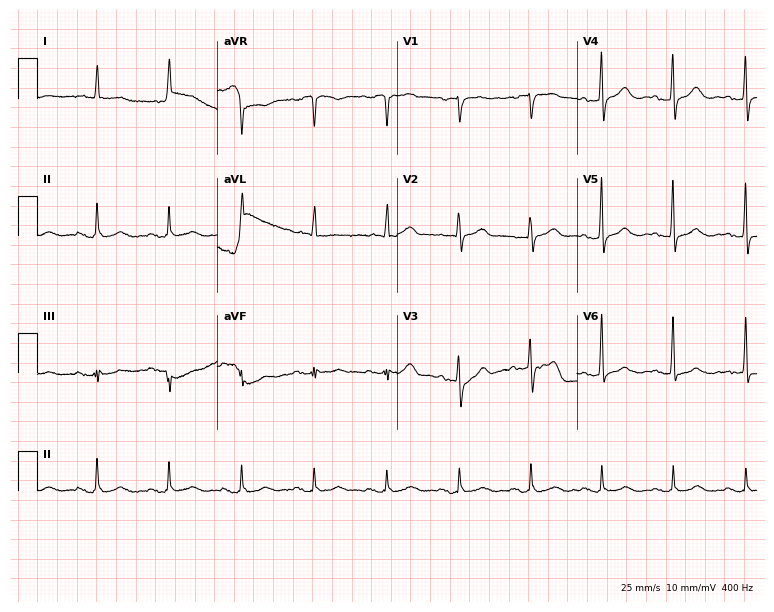
12-lead ECG from a woman, 78 years old. No first-degree AV block, right bundle branch block (RBBB), left bundle branch block (LBBB), sinus bradycardia, atrial fibrillation (AF) or sinus tachycardia recorded for this tracing. Findings outside these six are not listed.